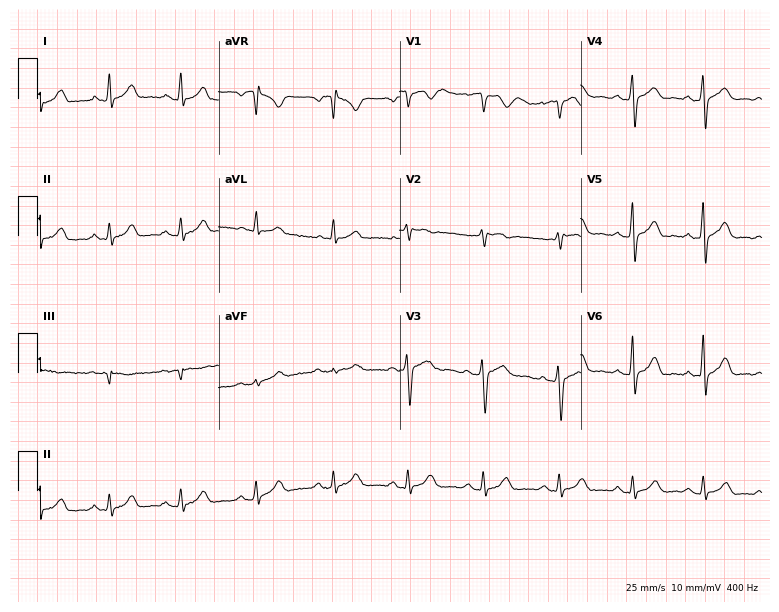
12-lead ECG (7.4-second recording at 400 Hz) from a woman, 33 years old. Labelled as a normal ECG.